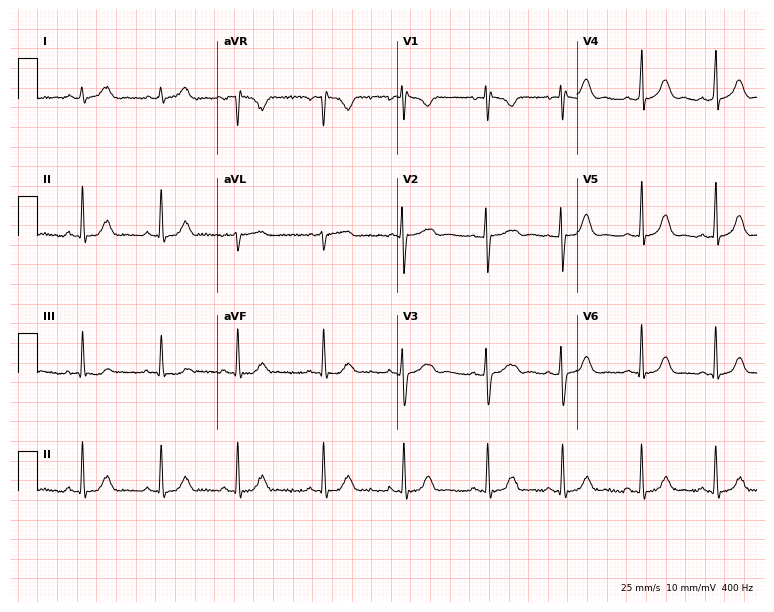
Electrocardiogram, a woman, 17 years old. Overall reading on record: normal ECG.